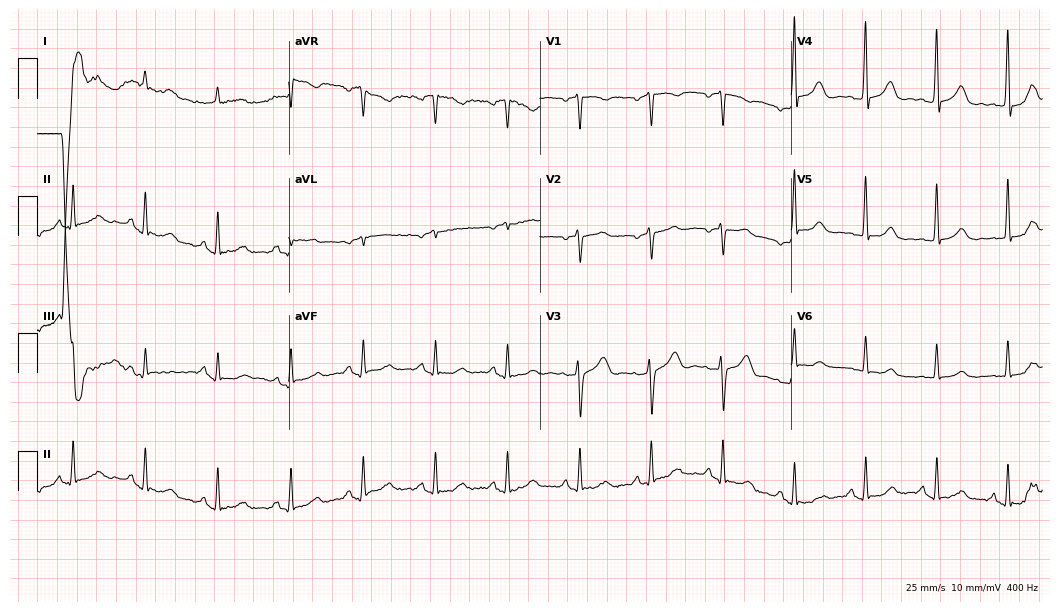
Standard 12-lead ECG recorded from a male, 70 years old (10.2-second recording at 400 Hz). Read as a normal ECG.